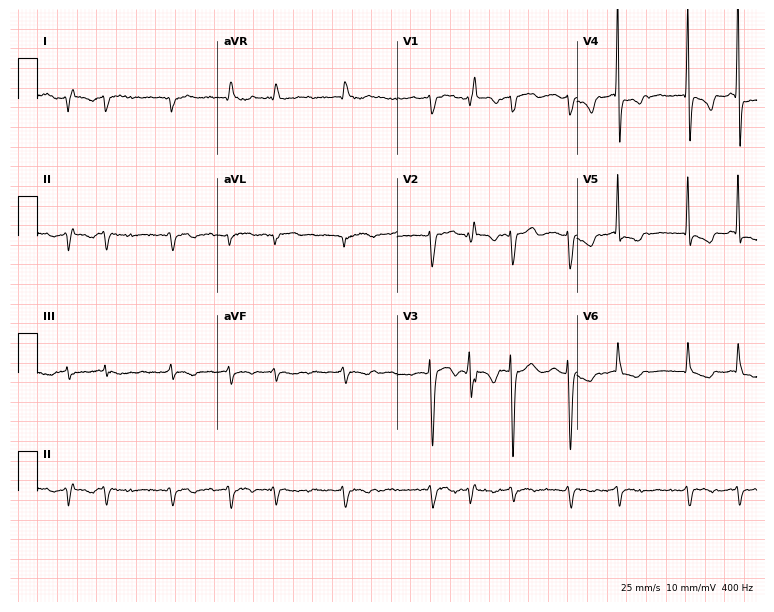
ECG — an 82-year-old man. Findings include atrial fibrillation (AF).